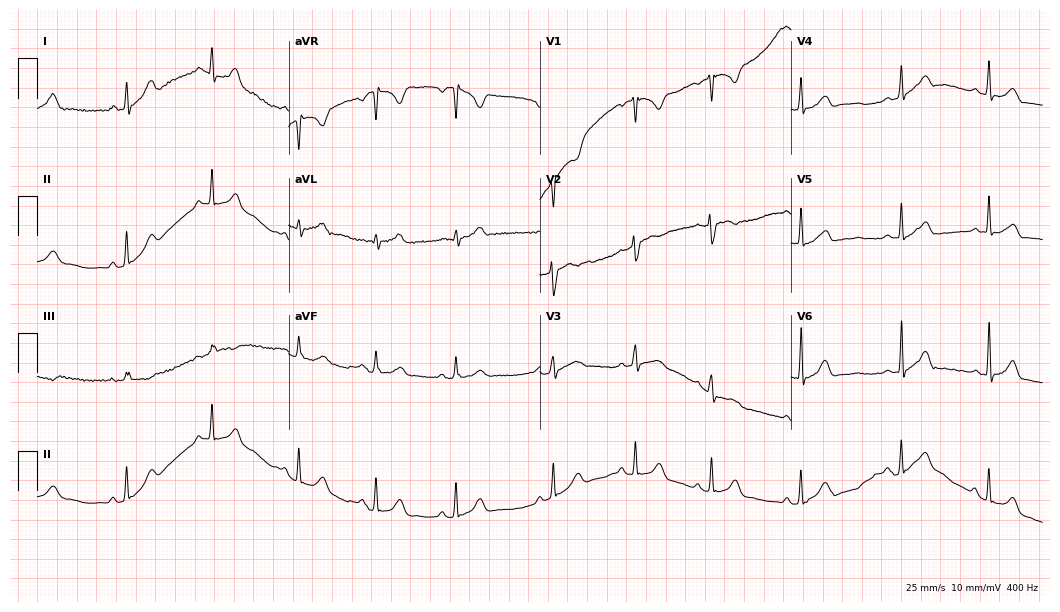
12-lead ECG from a woman, 18 years old. Recorded interpretation: within normal limits.